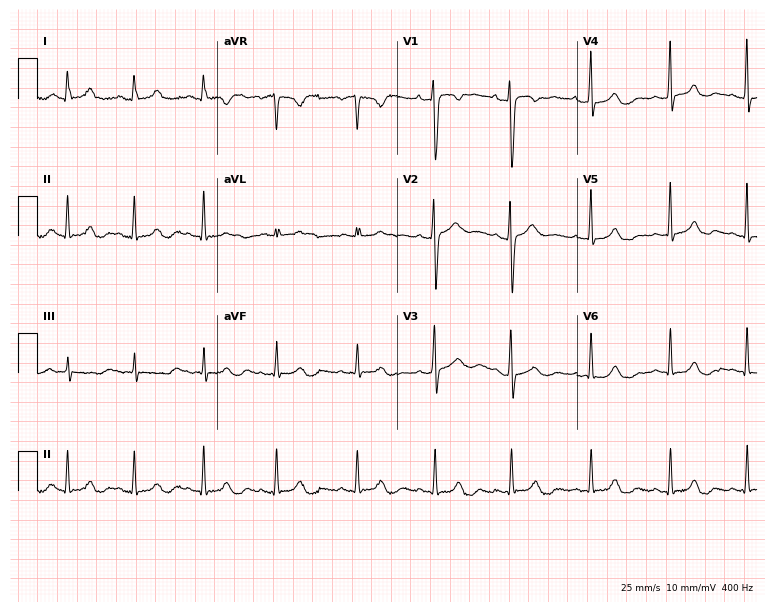
ECG — a female patient, 23 years old. Screened for six findings — first-degree AV block, right bundle branch block (RBBB), left bundle branch block (LBBB), sinus bradycardia, atrial fibrillation (AF), sinus tachycardia — none is recorded.